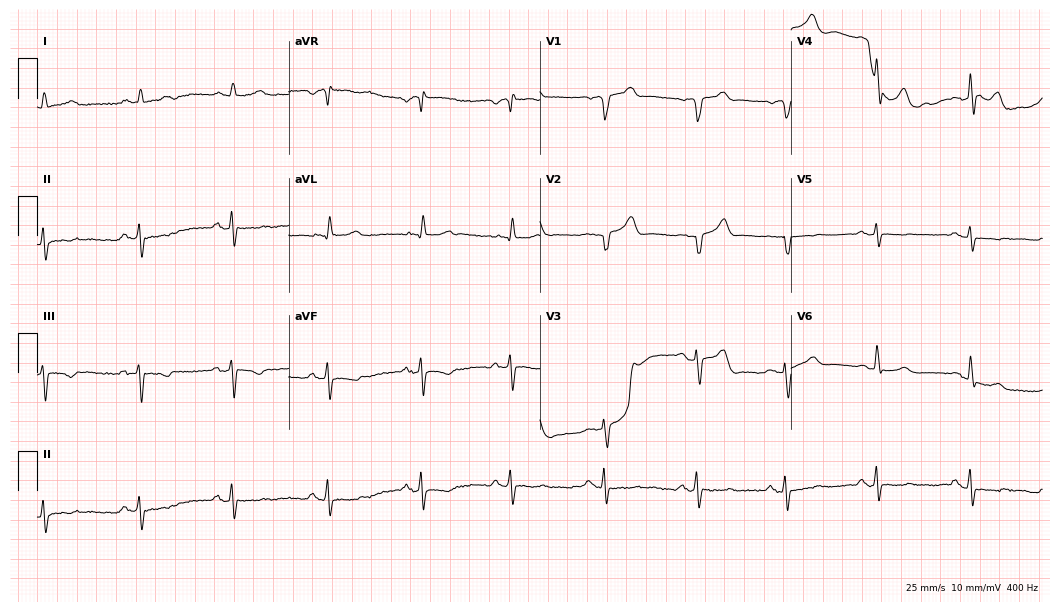
Standard 12-lead ECG recorded from a 78-year-old male patient. None of these six findings is recorded: first-degree AV block, right bundle branch block (RBBB), left bundle branch block (LBBB), sinus bradycardia, atrial fibrillation (AF), sinus tachycardia.